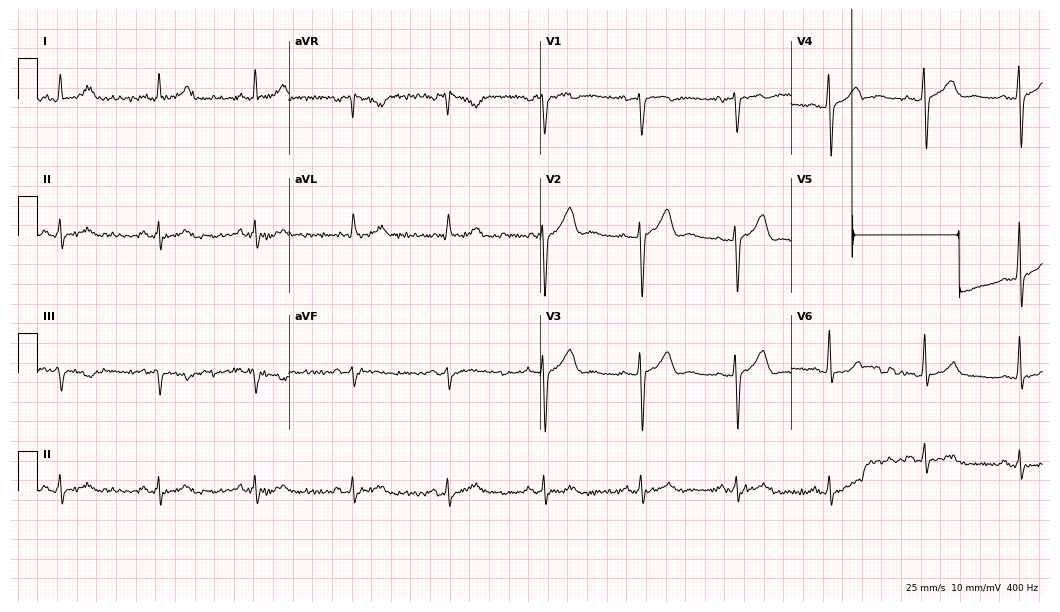
Resting 12-lead electrocardiogram (10.2-second recording at 400 Hz). Patient: a 41-year-old male. None of these six findings is recorded: first-degree AV block, right bundle branch block, left bundle branch block, sinus bradycardia, atrial fibrillation, sinus tachycardia. Findings outside these six are not listed.